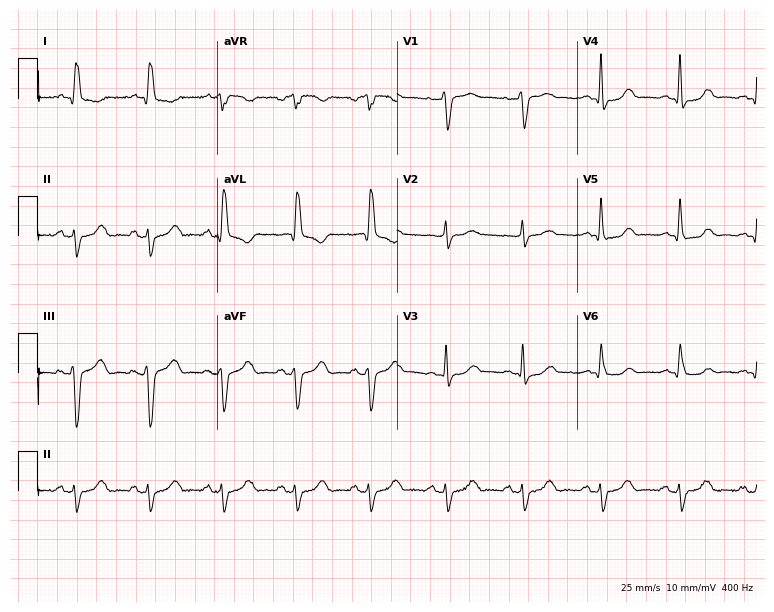
Electrocardiogram, a female, 72 years old. Of the six screened findings (first-degree AV block, right bundle branch block, left bundle branch block, sinus bradycardia, atrial fibrillation, sinus tachycardia), none is recorded.